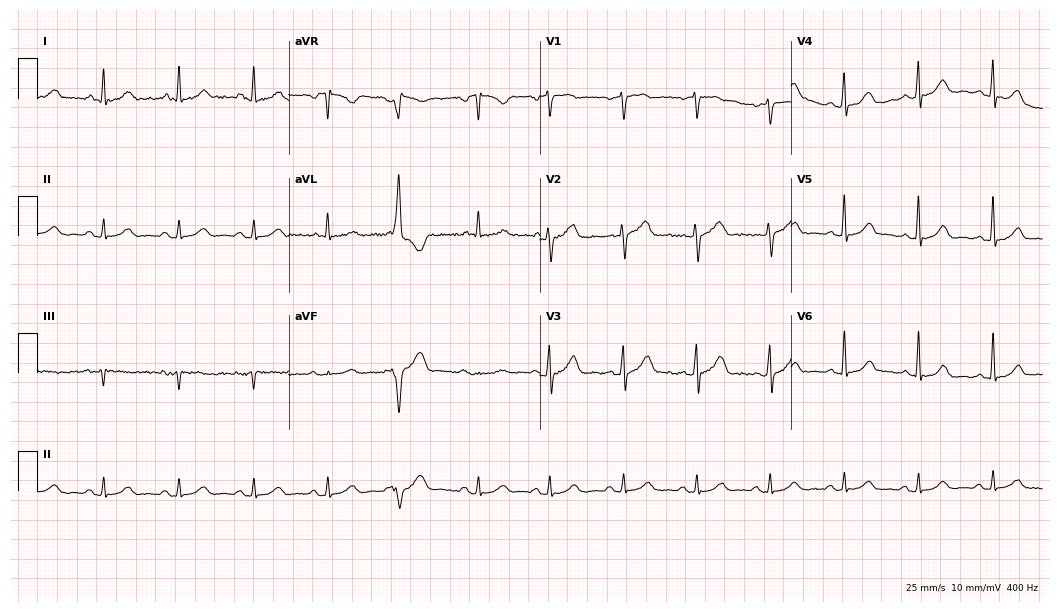
Resting 12-lead electrocardiogram. Patient: a 57-year-old female. Read as a normal ECG.